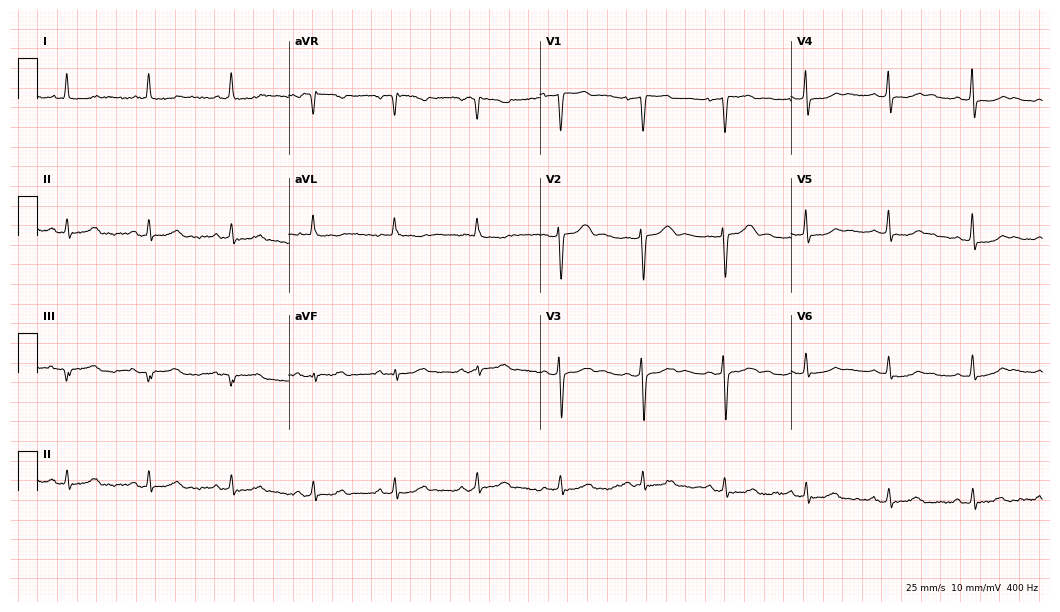
12-lead ECG from a 65-year-old woman. Screened for six findings — first-degree AV block, right bundle branch block (RBBB), left bundle branch block (LBBB), sinus bradycardia, atrial fibrillation (AF), sinus tachycardia — none is recorded. Other findings, if any, are not listed.